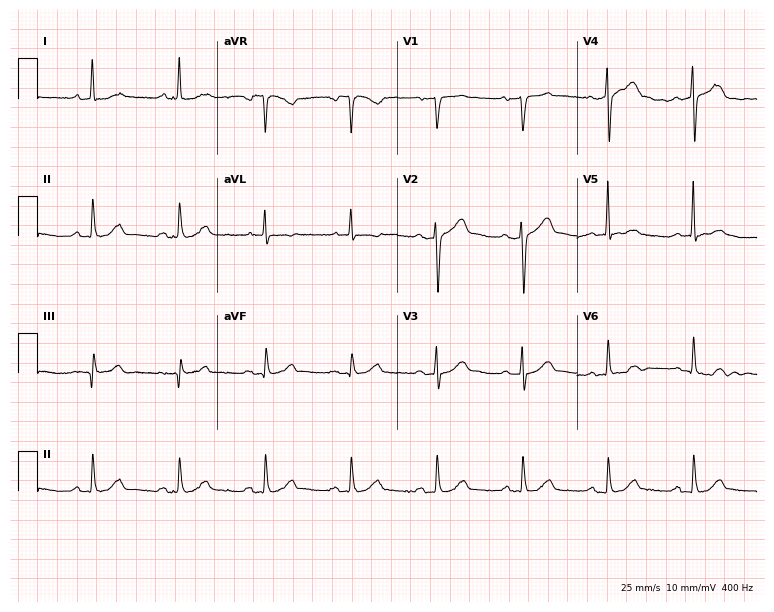
ECG — a 71-year-old man. Screened for six findings — first-degree AV block, right bundle branch block, left bundle branch block, sinus bradycardia, atrial fibrillation, sinus tachycardia — none is recorded. Other findings, if any, are not listed.